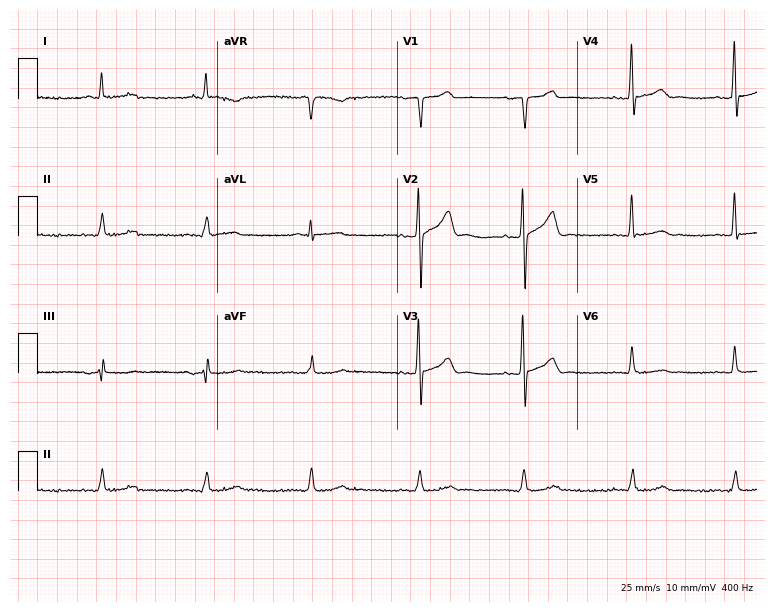
ECG (7.3-second recording at 400 Hz) — a man, 67 years old. Screened for six findings — first-degree AV block, right bundle branch block, left bundle branch block, sinus bradycardia, atrial fibrillation, sinus tachycardia — none is recorded. Only these six findings were labelled.